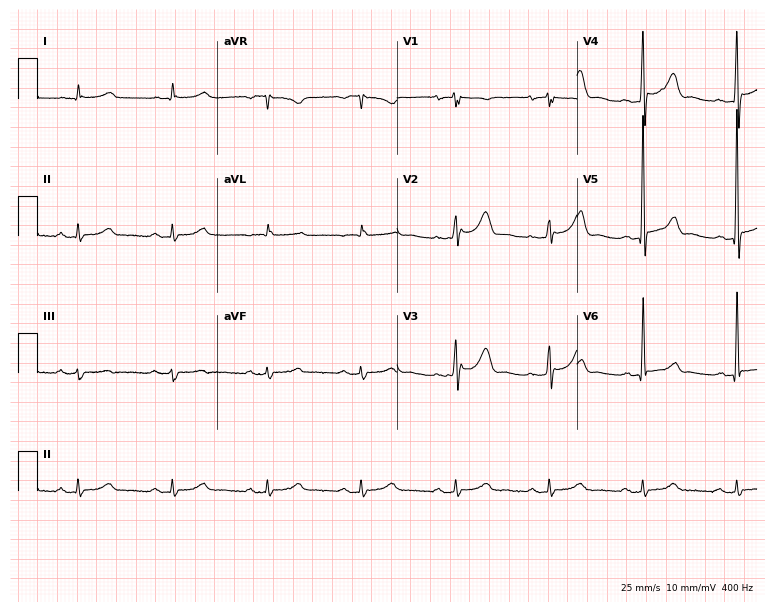
Resting 12-lead electrocardiogram. Patient: a 76-year-old man. None of these six findings is recorded: first-degree AV block, right bundle branch block, left bundle branch block, sinus bradycardia, atrial fibrillation, sinus tachycardia. Only these six findings were labelled.